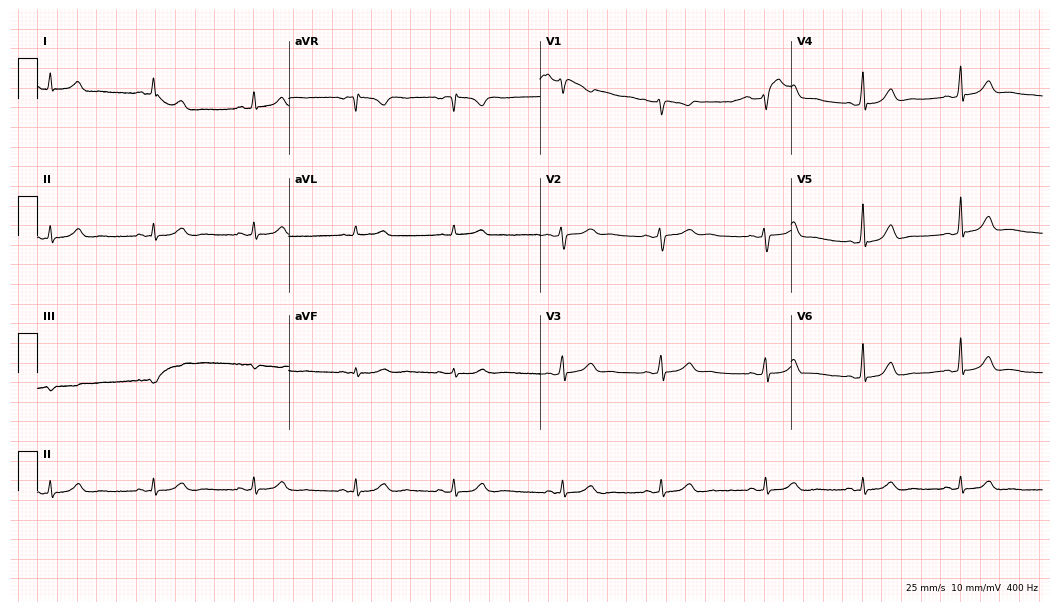
Standard 12-lead ECG recorded from a female, 40 years old. Read as a normal ECG.